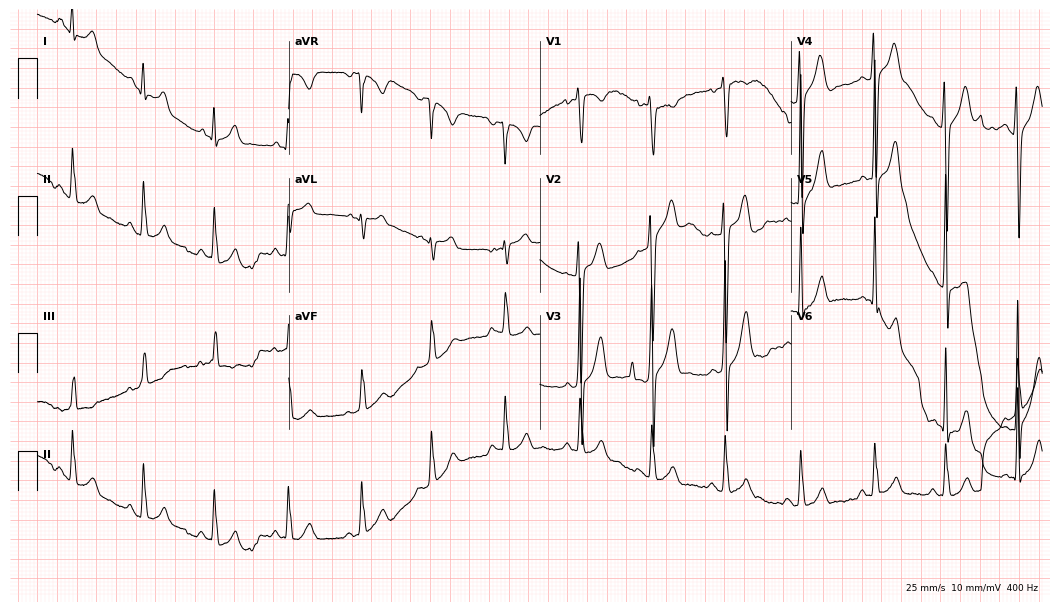
ECG — a 17-year-old male. Screened for six findings — first-degree AV block, right bundle branch block (RBBB), left bundle branch block (LBBB), sinus bradycardia, atrial fibrillation (AF), sinus tachycardia — none is recorded. Only these six findings were labelled.